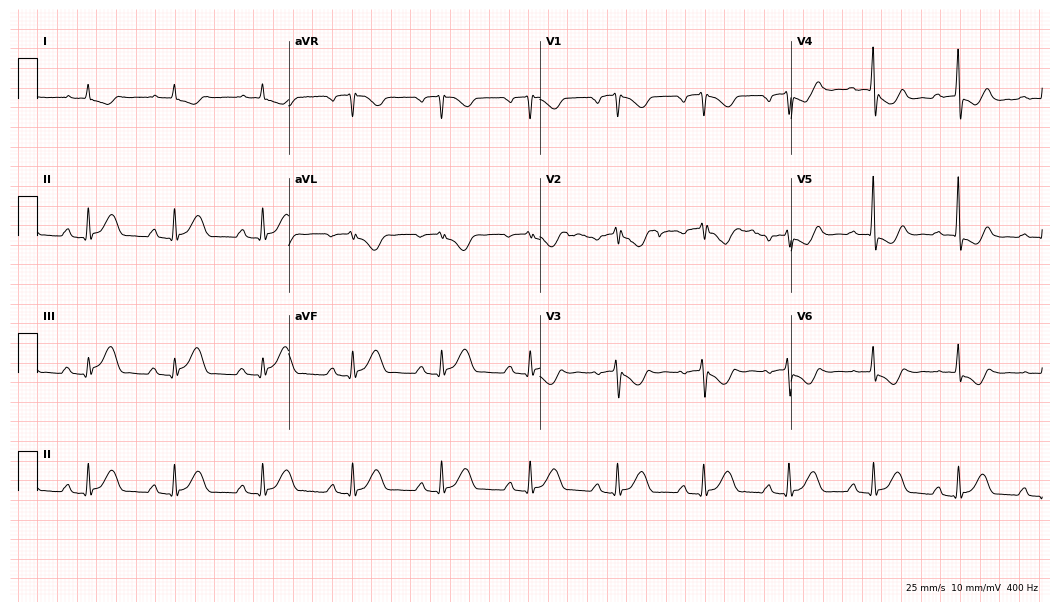
Standard 12-lead ECG recorded from a male patient, 66 years old. The tracing shows first-degree AV block.